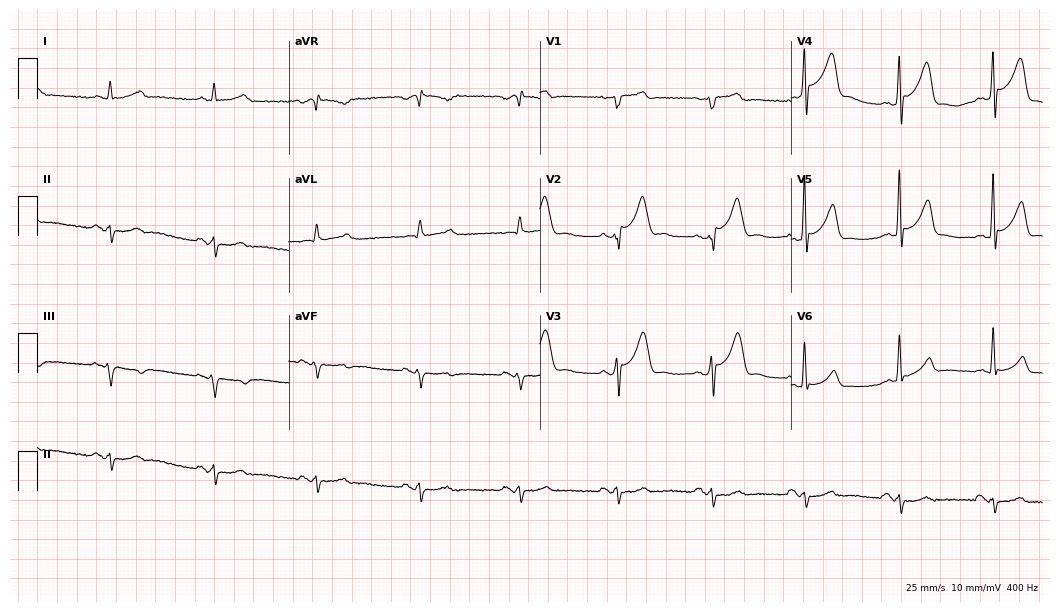
Electrocardiogram, a male patient, 66 years old. Of the six screened findings (first-degree AV block, right bundle branch block, left bundle branch block, sinus bradycardia, atrial fibrillation, sinus tachycardia), none is recorded.